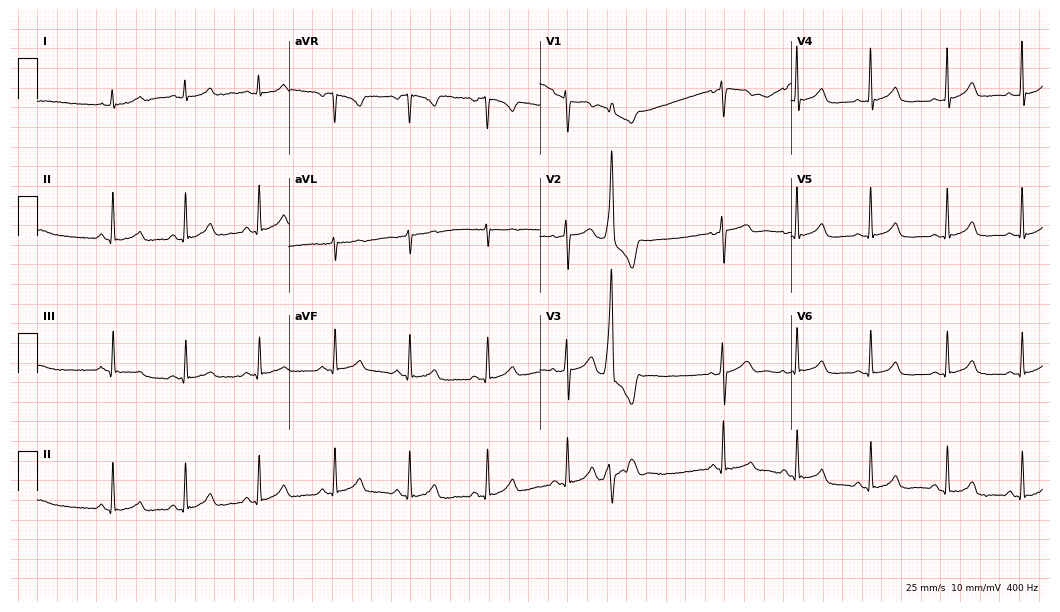
Resting 12-lead electrocardiogram (10.2-second recording at 400 Hz). Patient: a female, 32 years old. None of these six findings is recorded: first-degree AV block, right bundle branch block, left bundle branch block, sinus bradycardia, atrial fibrillation, sinus tachycardia.